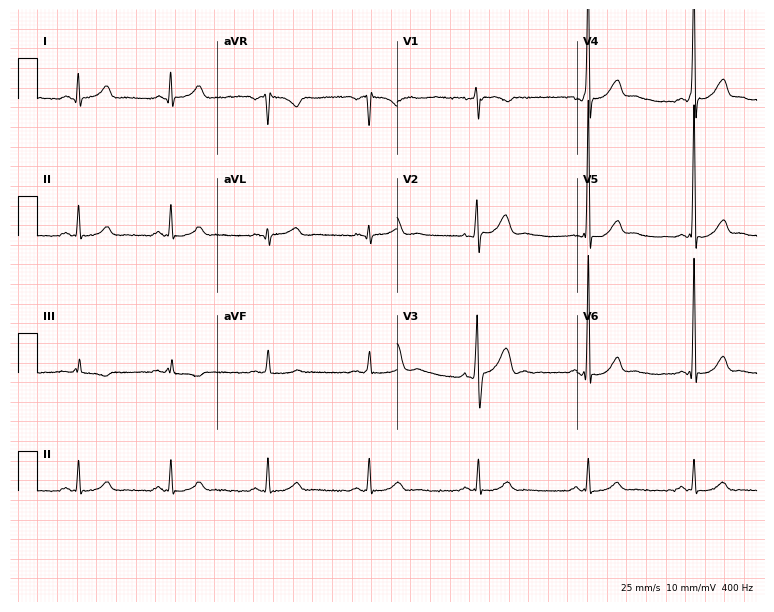
12-lead ECG from a 34-year-old male patient. Labelled as a normal ECG.